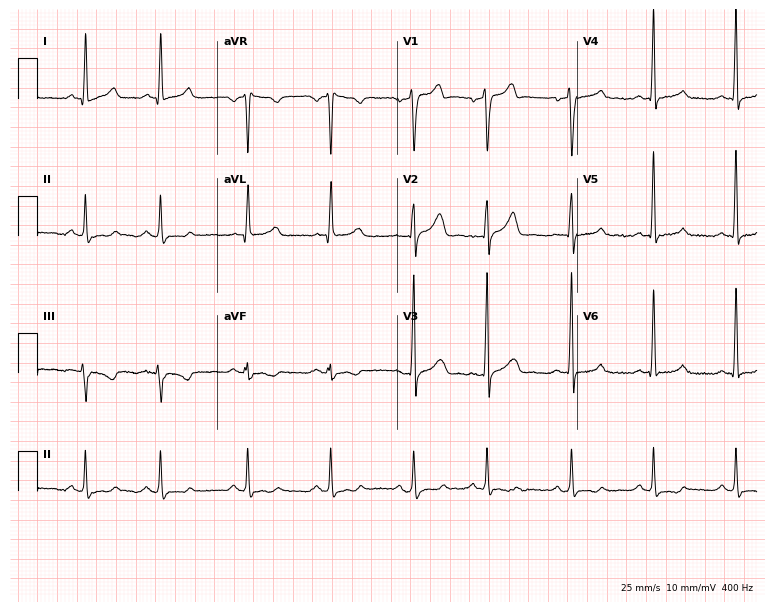
ECG (7.3-second recording at 400 Hz) — a 40-year-old man. Labelled as a normal ECG.